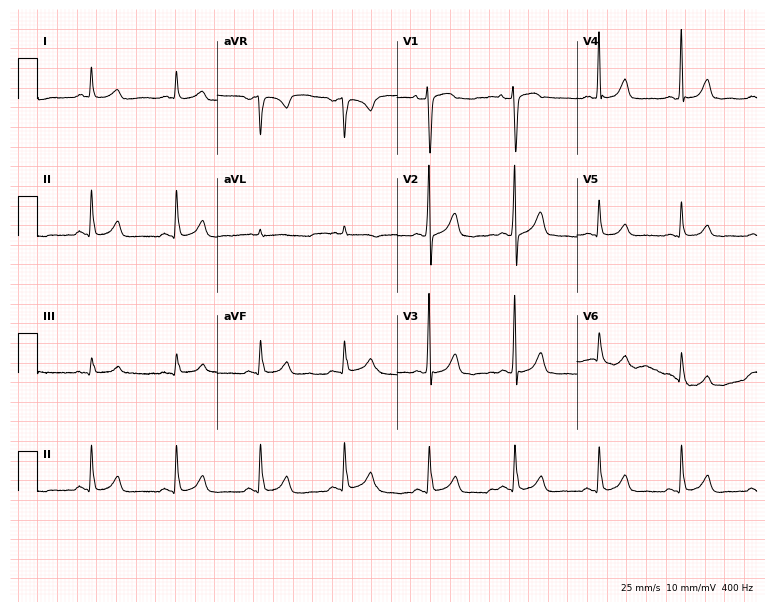
ECG (7.3-second recording at 400 Hz) — a 60-year-old female patient. Screened for six findings — first-degree AV block, right bundle branch block, left bundle branch block, sinus bradycardia, atrial fibrillation, sinus tachycardia — none is recorded. Findings outside these six are not listed.